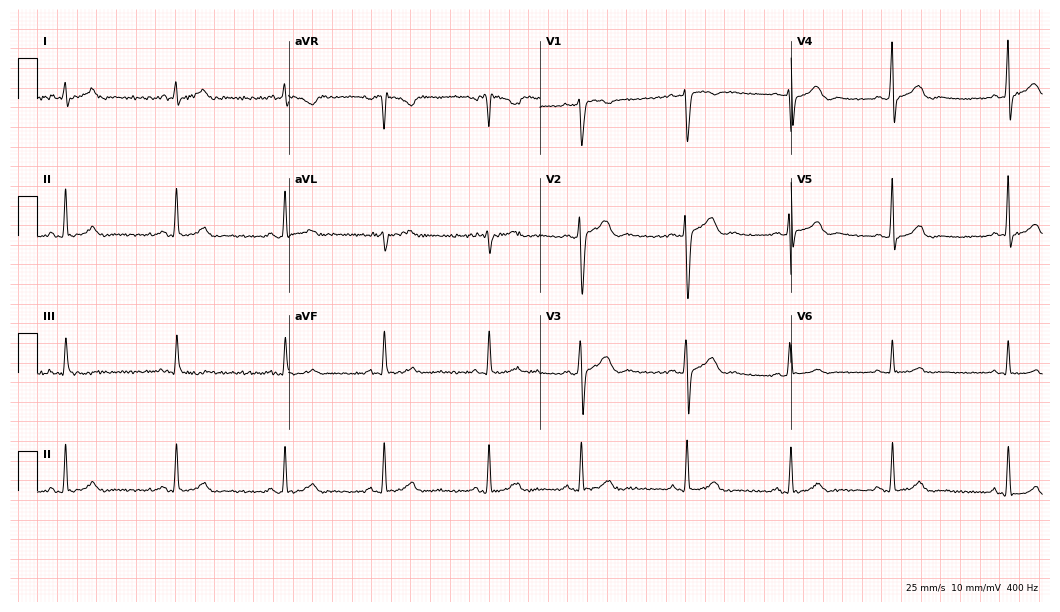
Electrocardiogram (10.2-second recording at 400 Hz), a man, 27 years old. Overall reading on record: normal ECG.